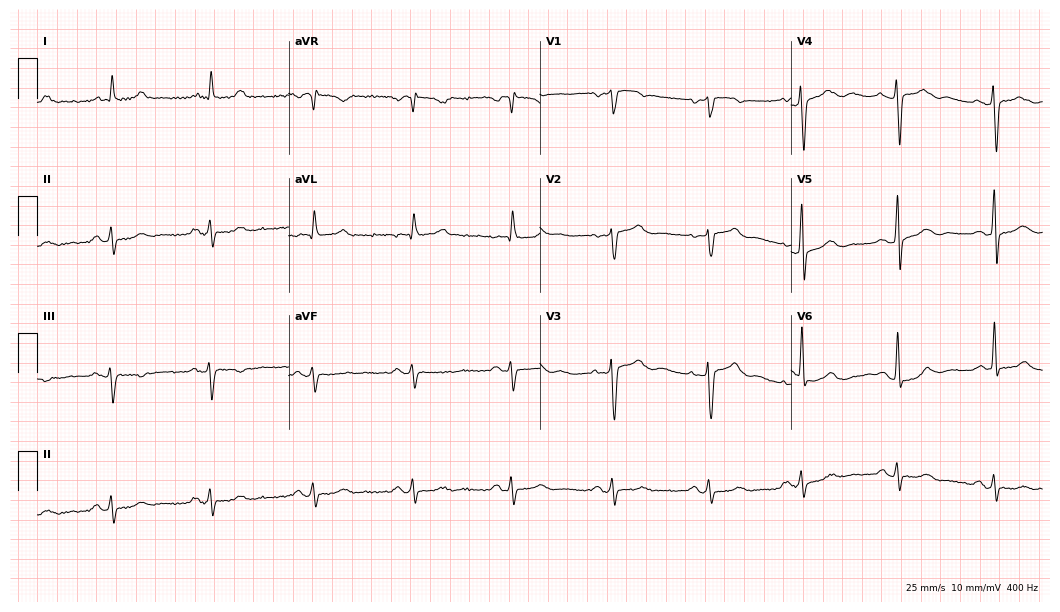
12-lead ECG (10.2-second recording at 400 Hz) from a male patient, 73 years old. Labelled as a normal ECG.